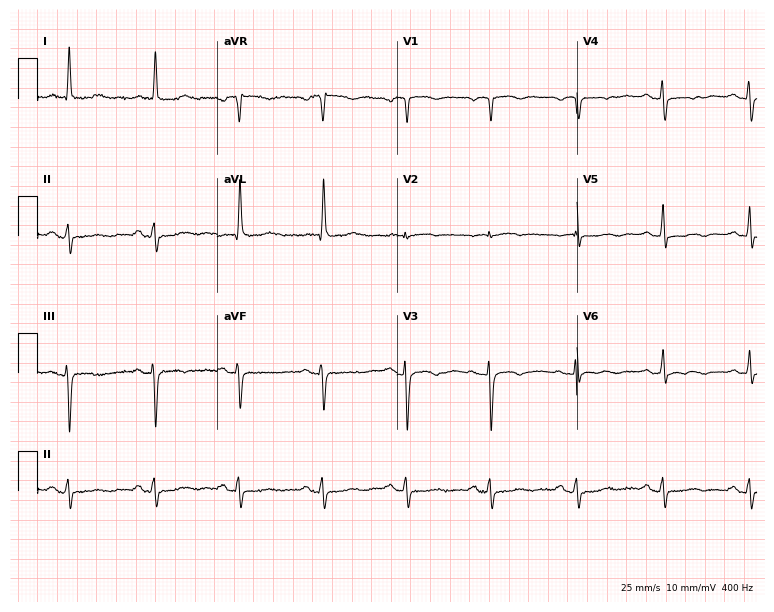
12-lead ECG from an 80-year-old female. Screened for six findings — first-degree AV block, right bundle branch block (RBBB), left bundle branch block (LBBB), sinus bradycardia, atrial fibrillation (AF), sinus tachycardia — none is recorded. Findings outside these six are not listed.